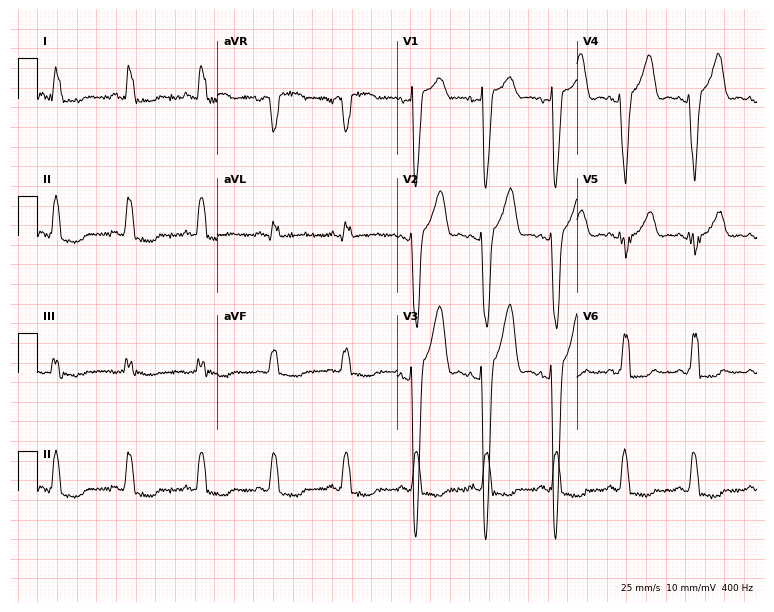
Electrocardiogram (7.3-second recording at 400 Hz), a female patient, 67 years old. Interpretation includes left bundle branch block (LBBB).